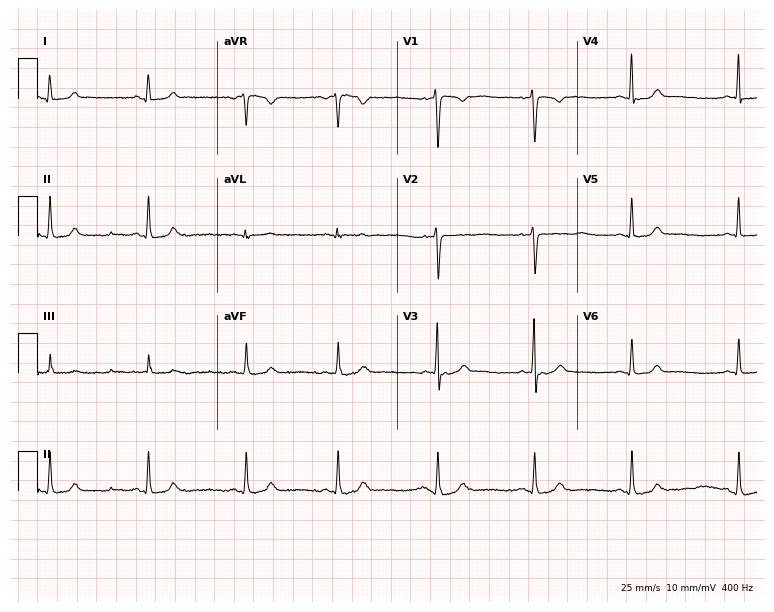
12-lead ECG from a woman, 23 years old. Recorded interpretation: within normal limits.